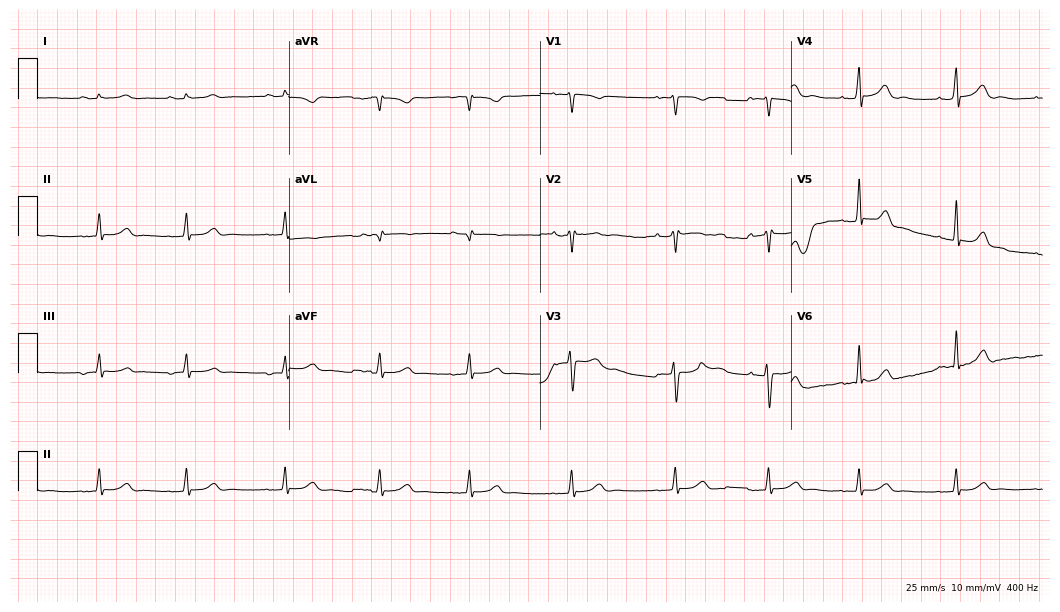
ECG (10.2-second recording at 400 Hz) — a female, 29 years old. Labelled as a normal ECG.